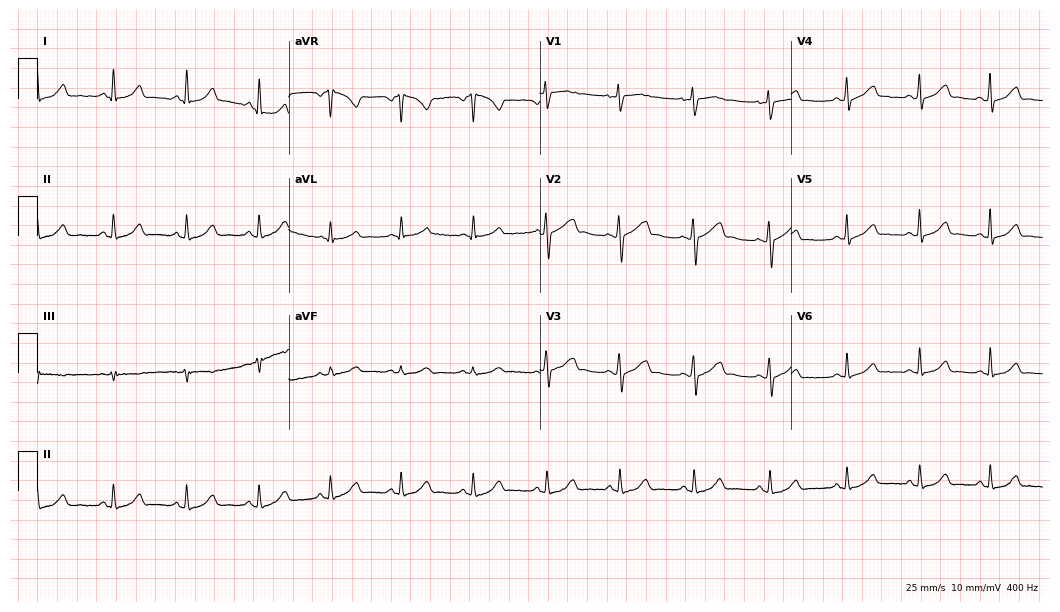
ECG (10.2-second recording at 400 Hz) — a 49-year-old female. Labelled as a normal ECG.